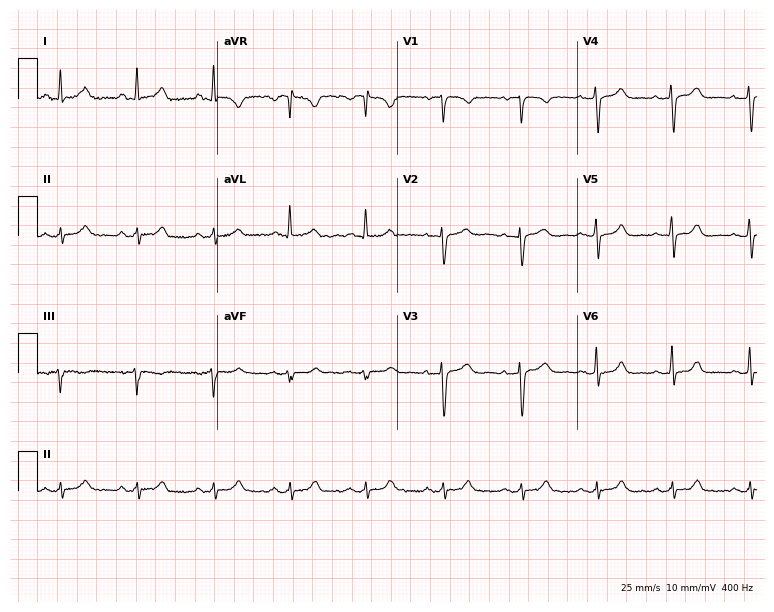
Electrocardiogram (7.3-second recording at 400 Hz), a 64-year-old female patient. Of the six screened findings (first-degree AV block, right bundle branch block, left bundle branch block, sinus bradycardia, atrial fibrillation, sinus tachycardia), none is recorded.